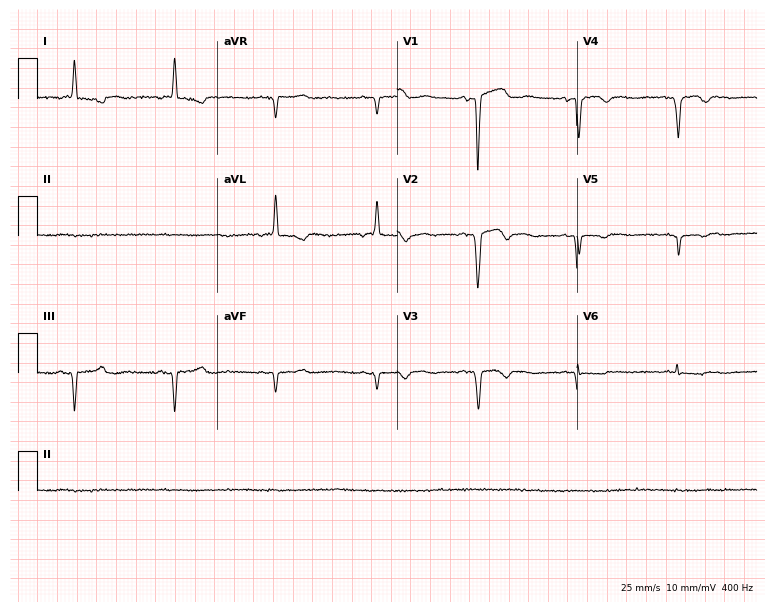
12-lead ECG from a 67-year-old man (7.3-second recording at 400 Hz). No first-degree AV block, right bundle branch block (RBBB), left bundle branch block (LBBB), sinus bradycardia, atrial fibrillation (AF) or sinus tachycardia recorded for this tracing.